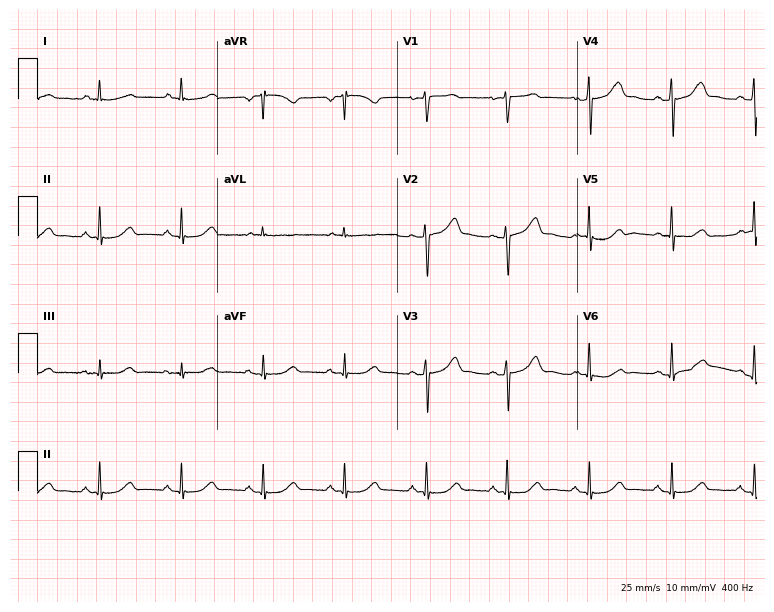
Resting 12-lead electrocardiogram. Patient: a female, 52 years old. None of these six findings is recorded: first-degree AV block, right bundle branch block, left bundle branch block, sinus bradycardia, atrial fibrillation, sinus tachycardia.